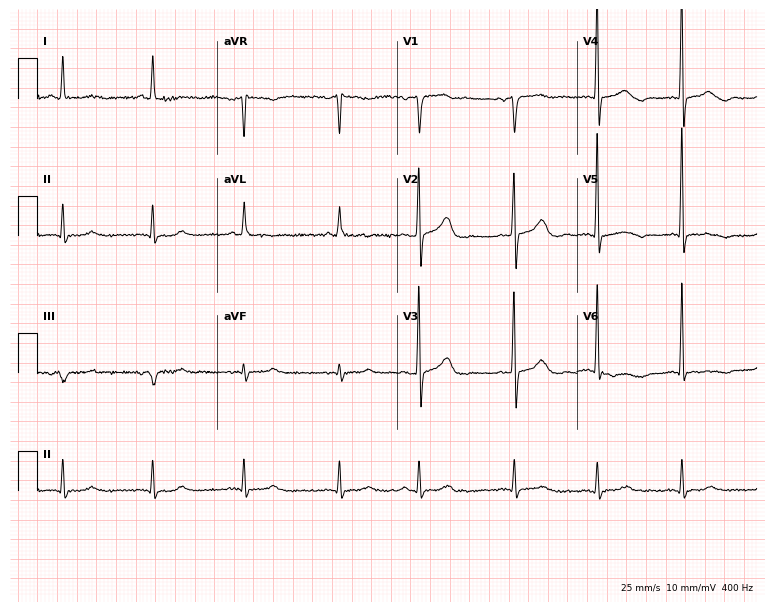
ECG (7.3-second recording at 400 Hz) — a female patient, 66 years old. Screened for six findings — first-degree AV block, right bundle branch block, left bundle branch block, sinus bradycardia, atrial fibrillation, sinus tachycardia — none is recorded.